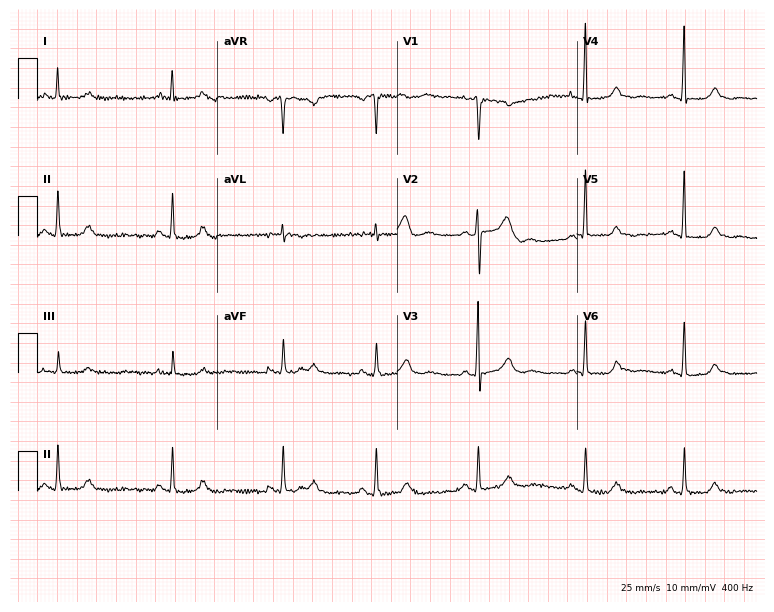
12-lead ECG (7.3-second recording at 400 Hz) from a female, 74 years old. Screened for six findings — first-degree AV block, right bundle branch block, left bundle branch block, sinus bradycardia, atrial fibrillation, sinus tachycardia — none is recorded.